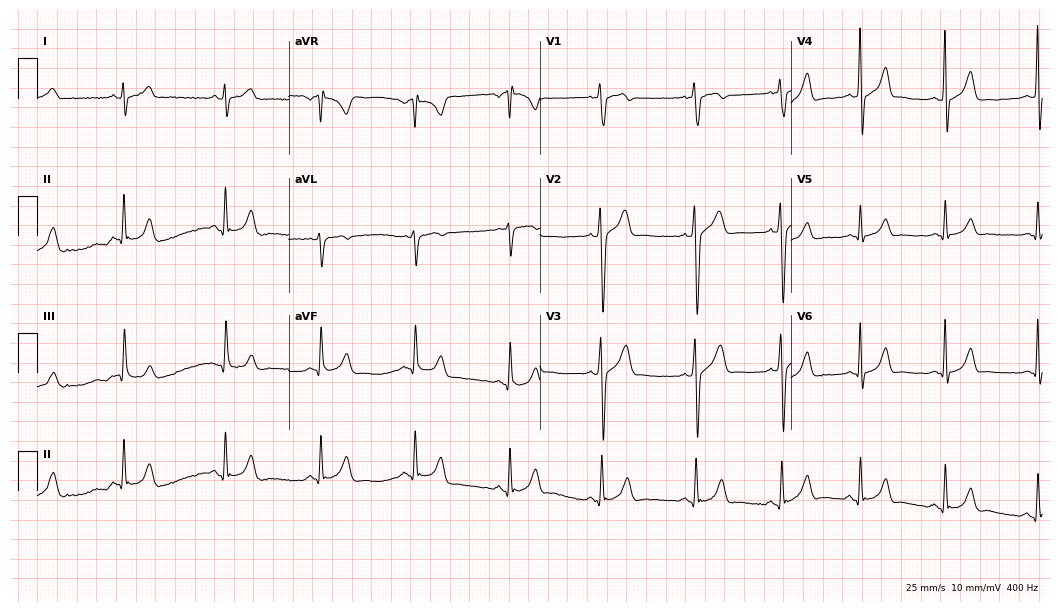
Resting 12-lead electrocardiogram. Patient: a 17-year-old male. Read as a normal ECG.